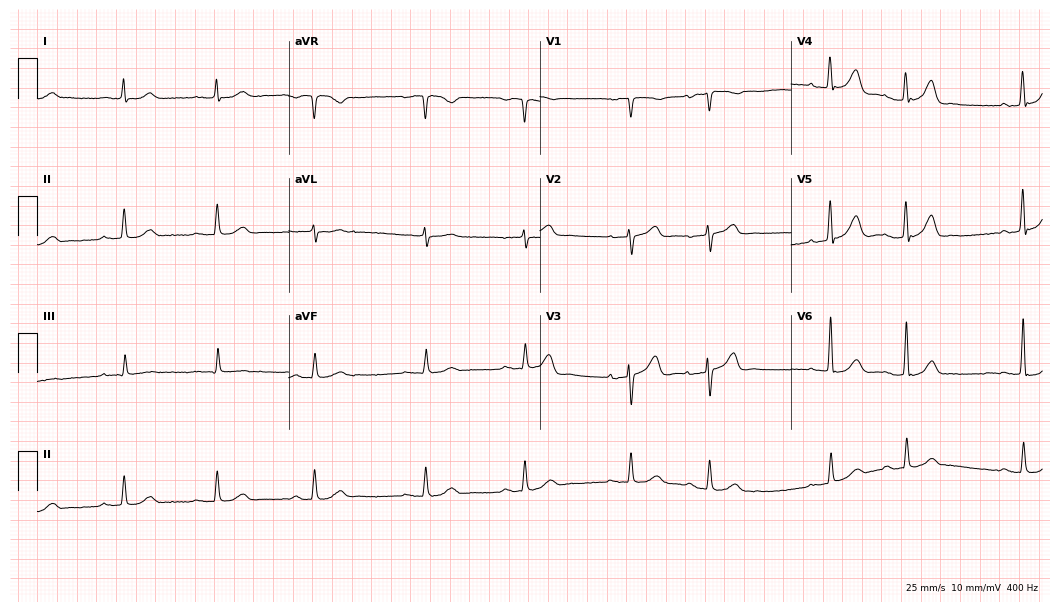
12-lead ECG (10.2-second recording at 400 Hz) from a man, 82 years old. Screened for six findings — first-degree AV block, right bundle branch block, left bundle branch block, sinus bradycardia, atrial fibrillation, sinus tachycardia — none is recorded. Findings outside these six are not listed.